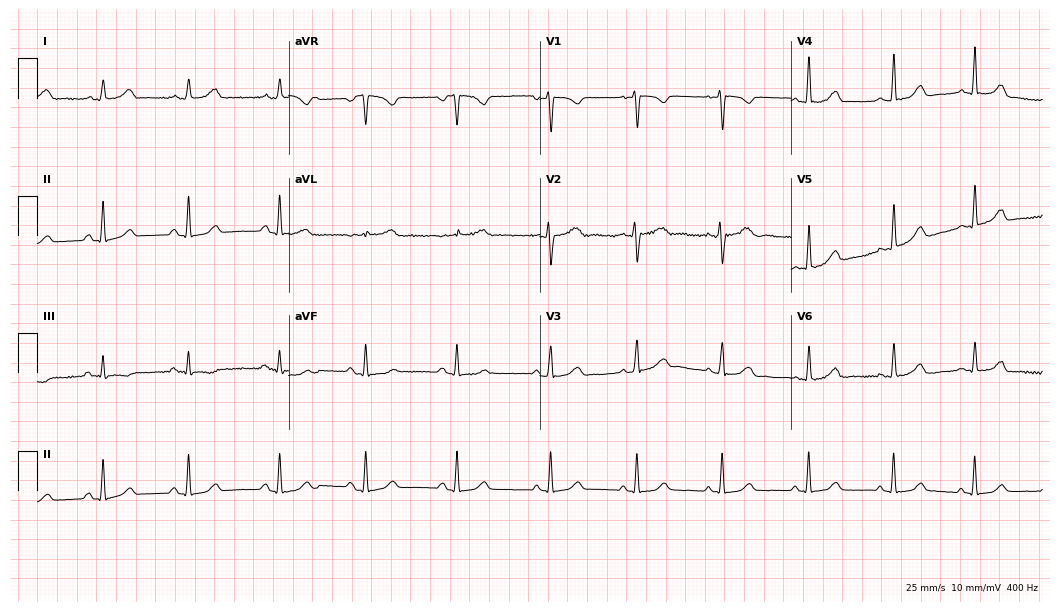
Electrocardiogram, a woman, 41 years old. Of the six screened findings (first-degree AV block, right bundle branch block, left bundle branch block, sinus bradycardia, atrial fibrillation, sinus tachycardia), none is recorded.